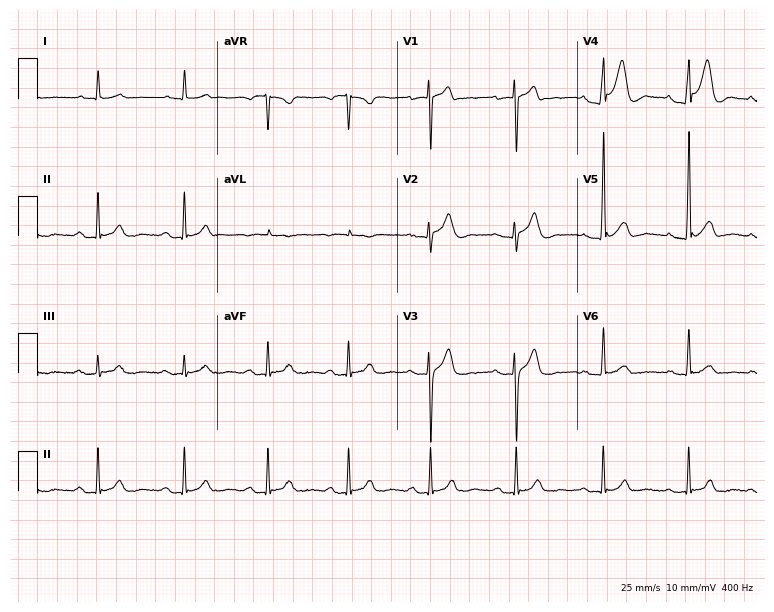
Resting 12-lead electrocardiogram (7.3-second recording at 400 Hz). Patient: a male, 33 years old. Read as a normal ECG.